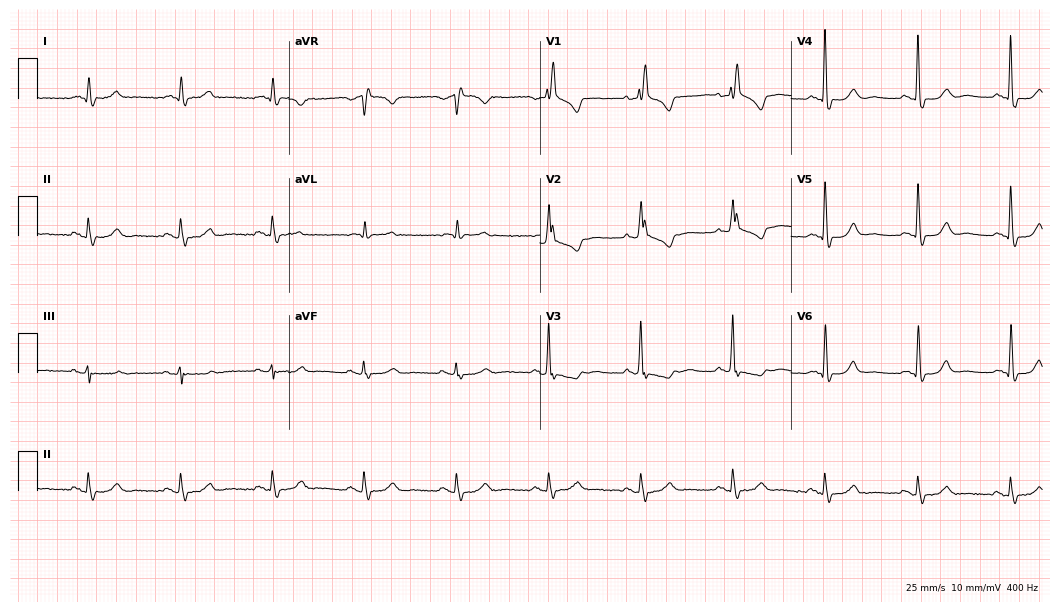
Standard 12-lead ECG recorded from a male, 81 years old (10.2-second recording at 400 Hz). The tracing shows right bundle branch block.